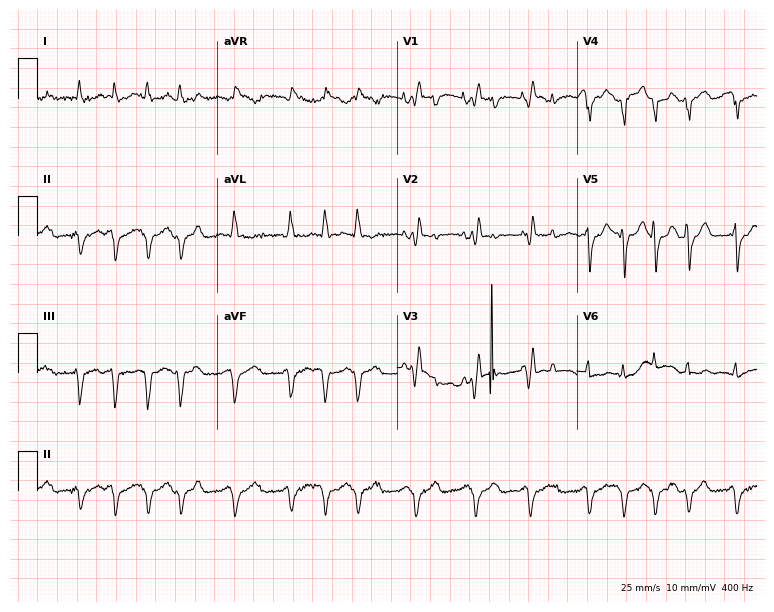
12-lead ECG from a female, 86 years old. Shows atrial fibrillation.